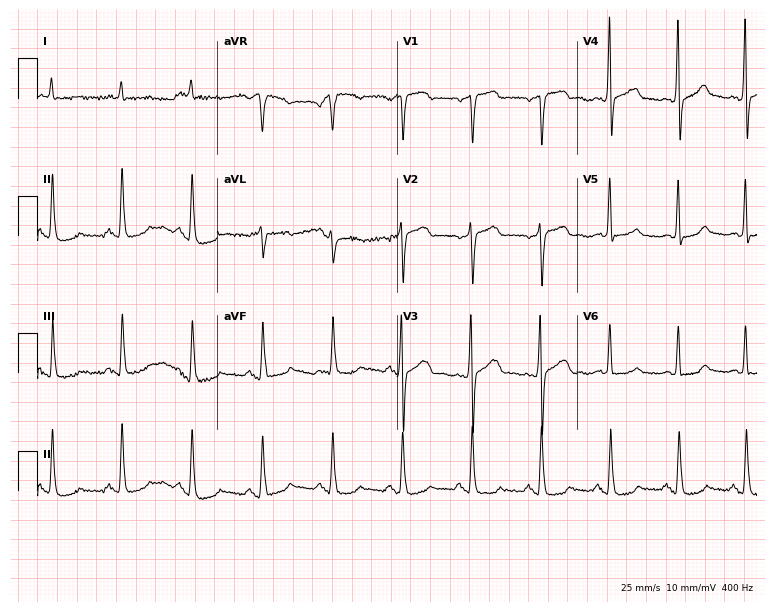
ECG (7.3-second recording at 400 Hz) — a male patient, 72 years old. Screened for six findings — first-degree AV block, right bundle branch block, left bundle branch block, sinus bradycardia, atrial fibrillation, sinus tachycardia — none is recorded. Only these six findings were labelled.